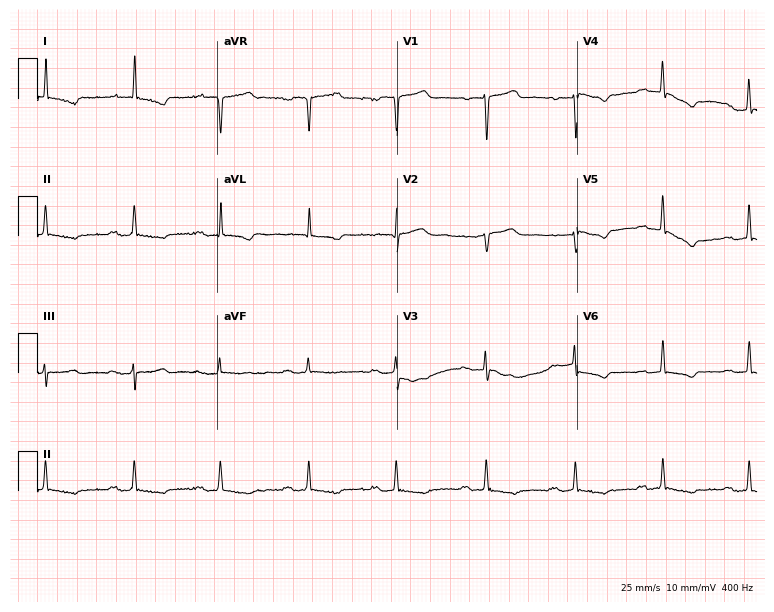
12-lead ECG (7.3-second recording at 400 Hz) from a 71-year-old female. Findings include first-degree AV block.